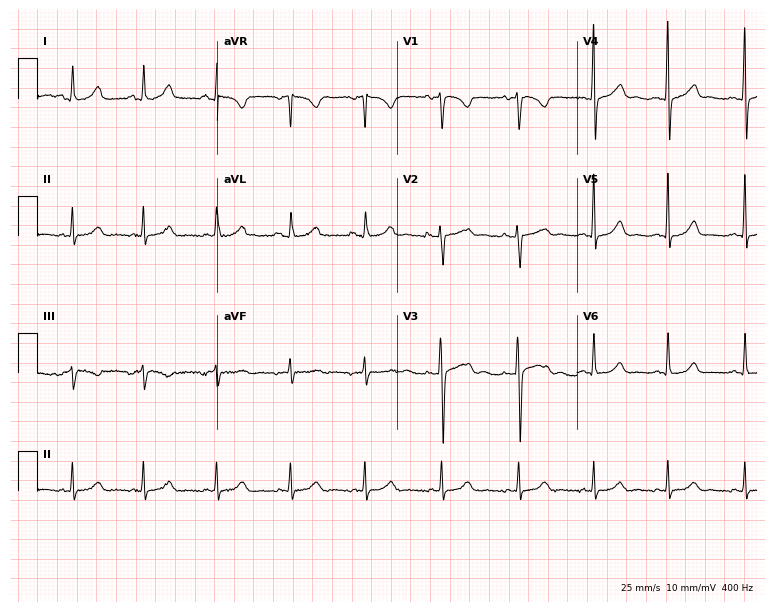
Standard 12-lead ECG recorded from a 30-year-old woman. None of these six findings is recorded: first-degree AV block, right bundle branch block, left bundle branch block, sinus bradycardia, atrial fibrillation, sinus tachycardia. Findings outside these six are not listed.